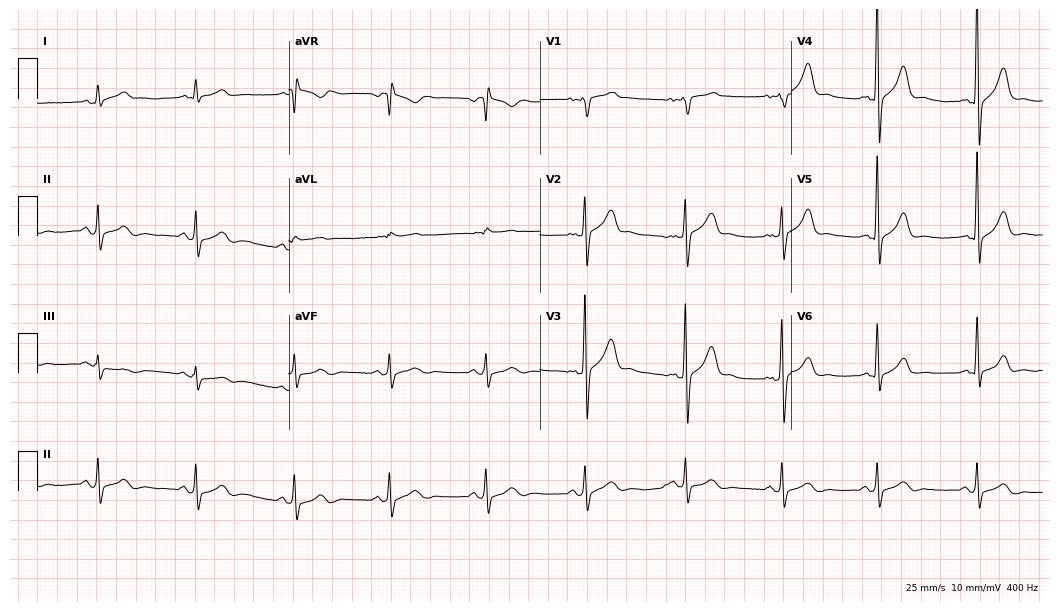
ECG — a man, 52 years old. Labelled as a normal ECG.